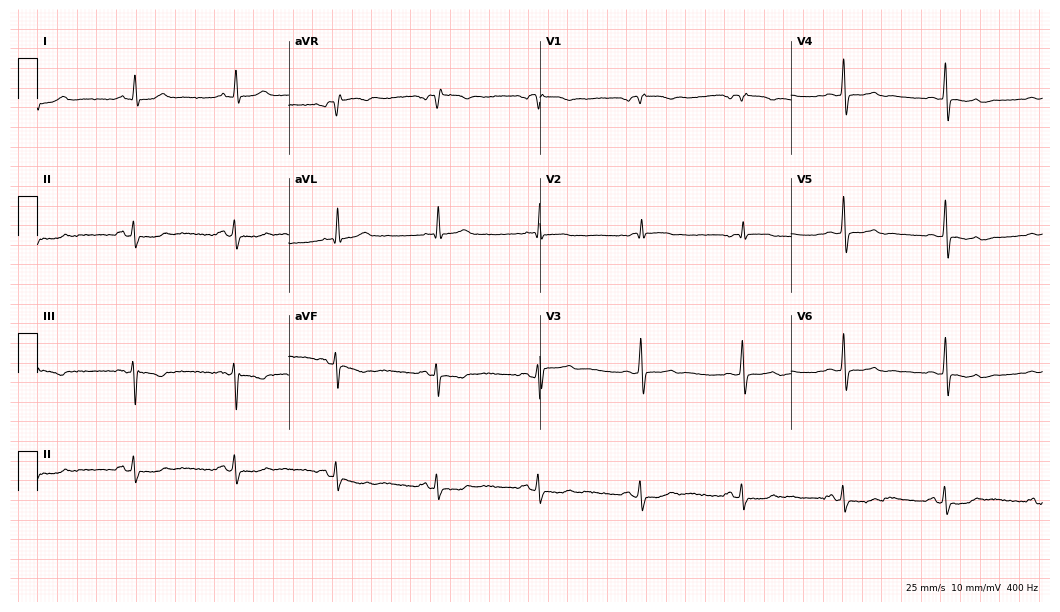
Resting 12-lead electrocardiogram. Patient: a man, 73 years old. None of these six findings is recorded: first-degree AV block, right bundle branch block (RBBB), left bundle branch block (LBBB), sinus bradycardia, atrial fibrillation (AF), sinus tachycardia.